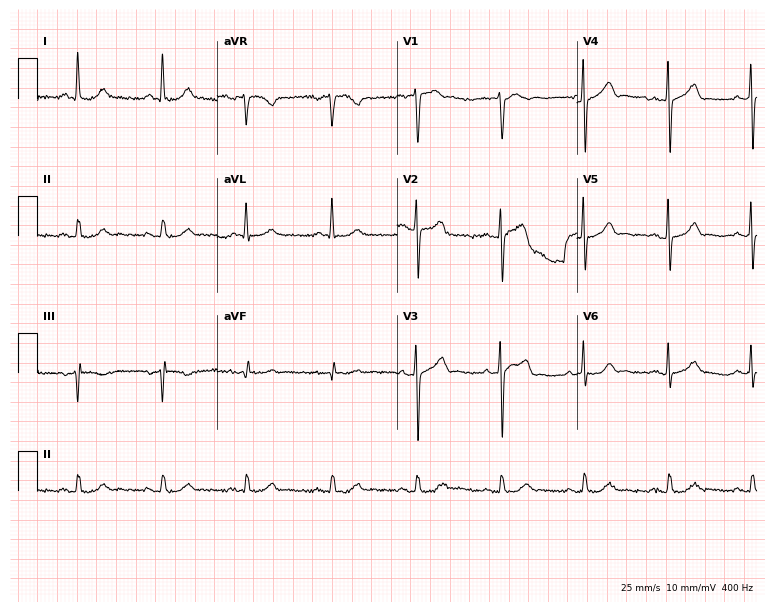
12-lead ECG from a 67-year-old male. Screened for six findings — first-degree AV block, right bundle branch block, left bundle branch block, sinus bradycardia, atrial fibrillation, sinus tachycardia — none is recorded. Only these six findings were labelled.